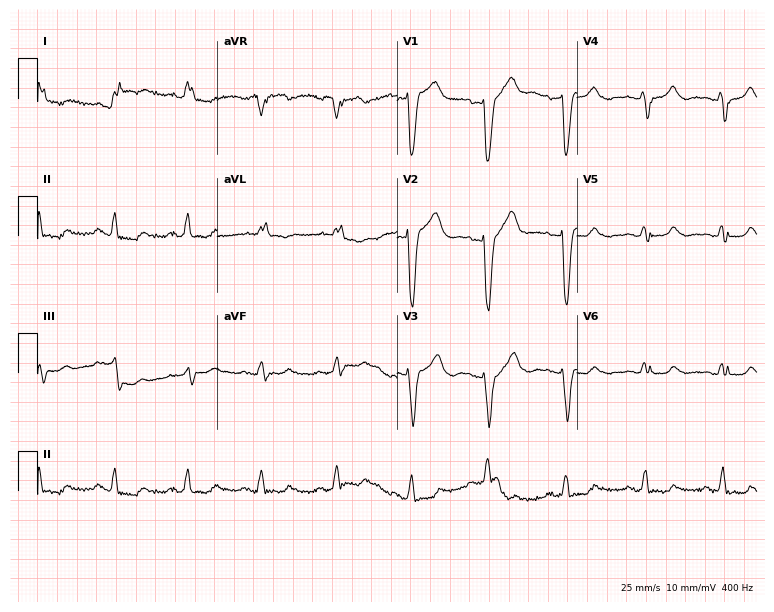
Standard 12-lead ECG recorded from a 70-year-old female. The tracing shows left bundle branch block (LBBB).